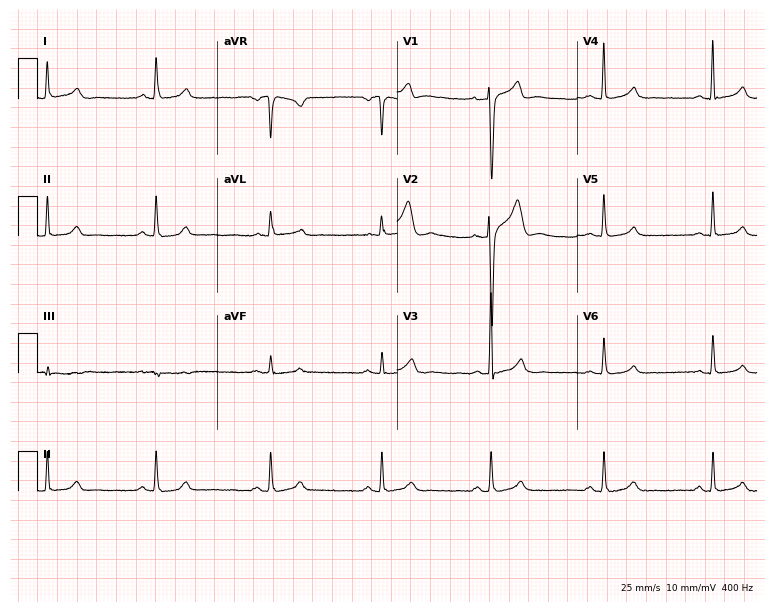
ECG (7.3-second recording at 400 Hz) — a male patient, 40 years old. Labelled as a normal ECG.